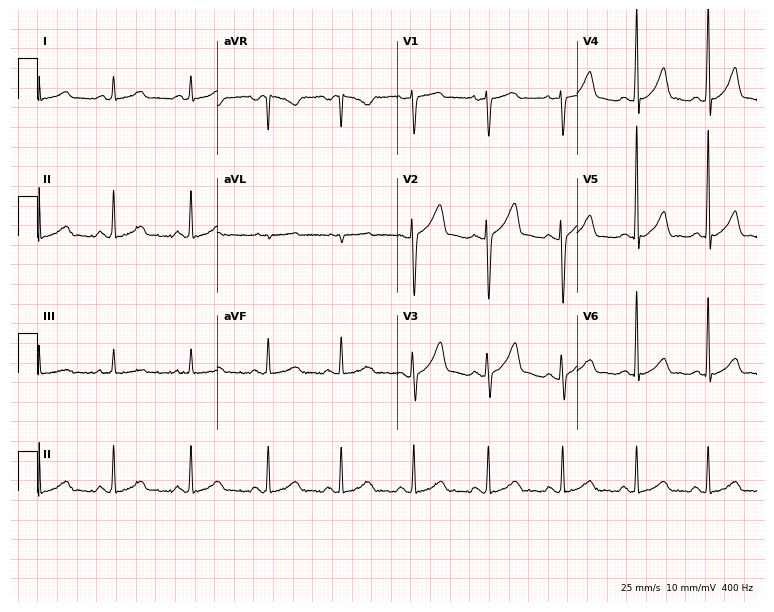
Resting 12-lead electrocardiogram (7.3-second recording at 400 Hz). Patient: a male, 39 years old. Read as a normal ECG.